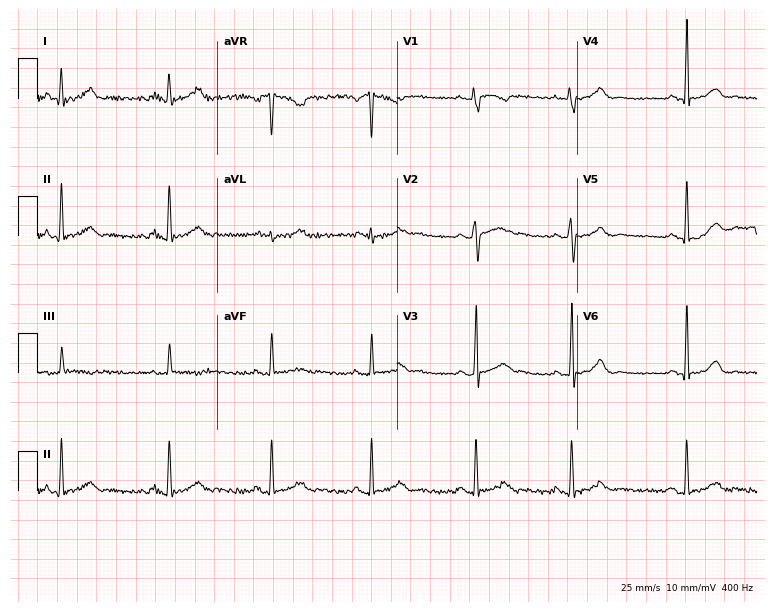
12-lead ECG from a female patient, 32 years old. Screened for six findings — first-degree AV block, right bundle branch block, left bundle branch block, sinus bradycardia, atrial fibrillation, sinus tachycardia — none is recorded. Findings outside these six are not listed.